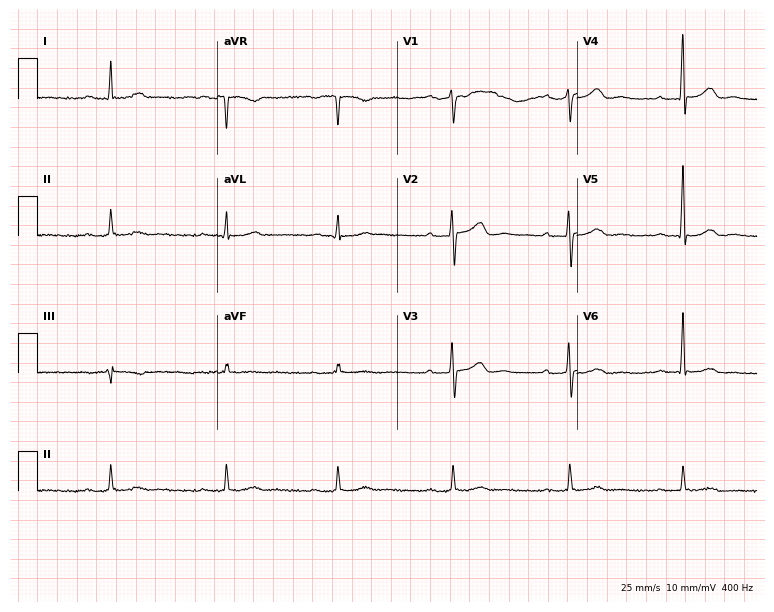
Resting 12-lead electrocardiogram. Patient: a 67-year-old male. None of these six findings is recorded: first-degree AV block, right bundle branch block, left bundle branch block, sinus bradycardia, atrial fibrillation, sinus tachycardia.